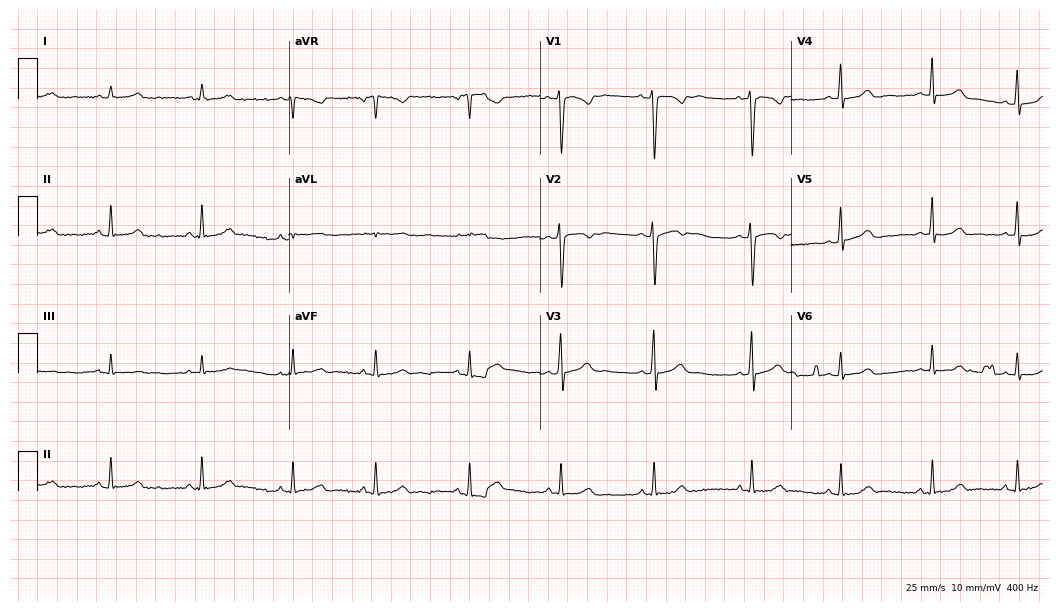
ECG (10.2-second recording at 400 Hz) — a female, 18 years old. Screened for six findings — first-degree AV block, right bundle branch block (RBBB), left bundle branch block (LBBB), sinus bradycardia, atrial fibrillation (AF), sinus tachycardia — none is recorded.